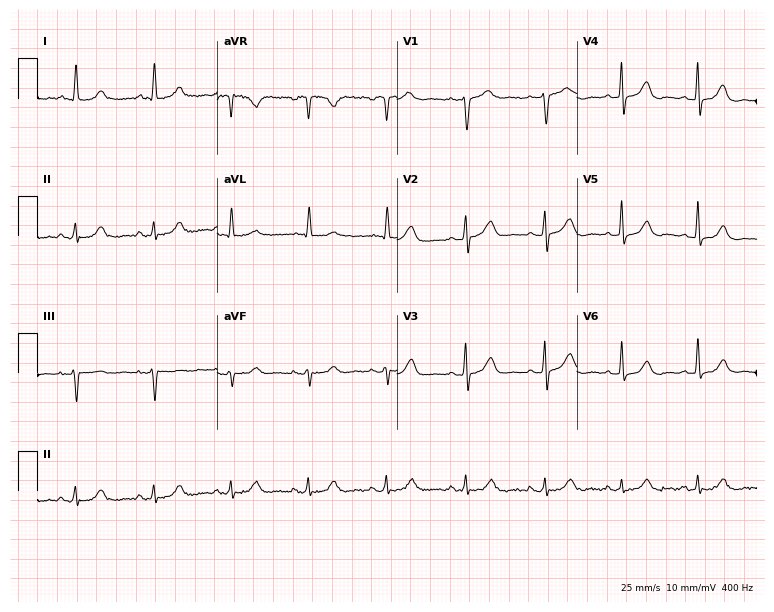
Resting 12-lead electrocardiogram (7.3-second recording at 400 Hz). Patient: a 46-year-old woman. None of these six findings is recorded: first-degree AV block, right bundle branch block, left bundle branch block, sinus bradycardia, atrial fibrillation, sinus tachycardia.